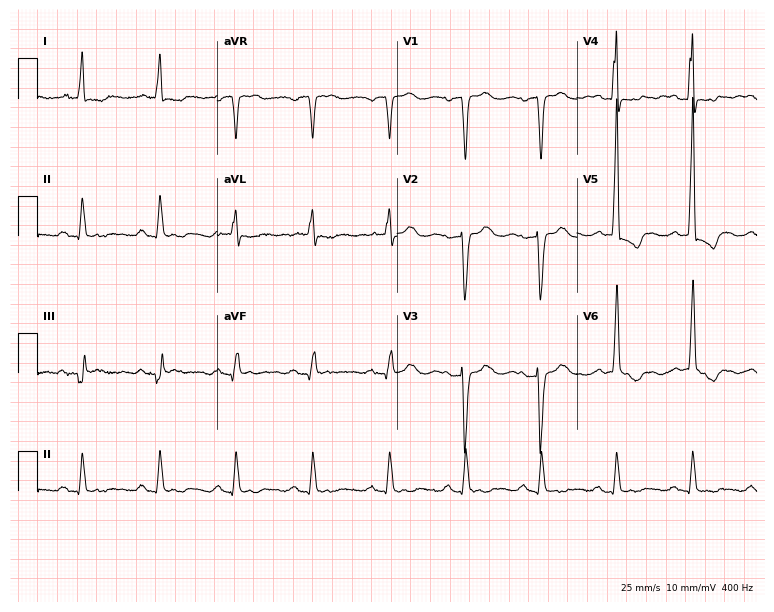
ECG — a female patient, 79 years old. Findings include first-degree AV block.